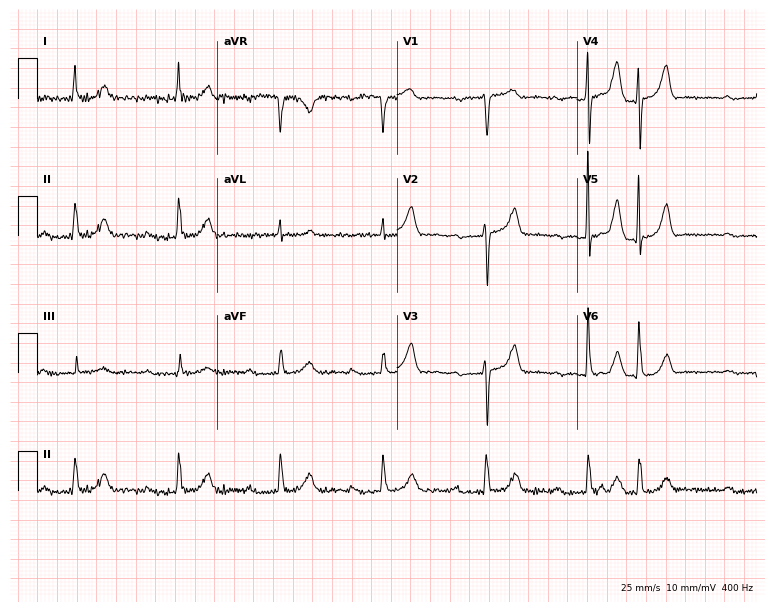
Resting 12-lead electrocardiogram (7.3-second recording at 400 Hz). Patient: an 80-year-old woman. None of these six findings is recorded: first-degree AV block, right bundle branch block, left bundle branch block, sinus bradycardia, atrial fibrillation, sinus tachycardia.